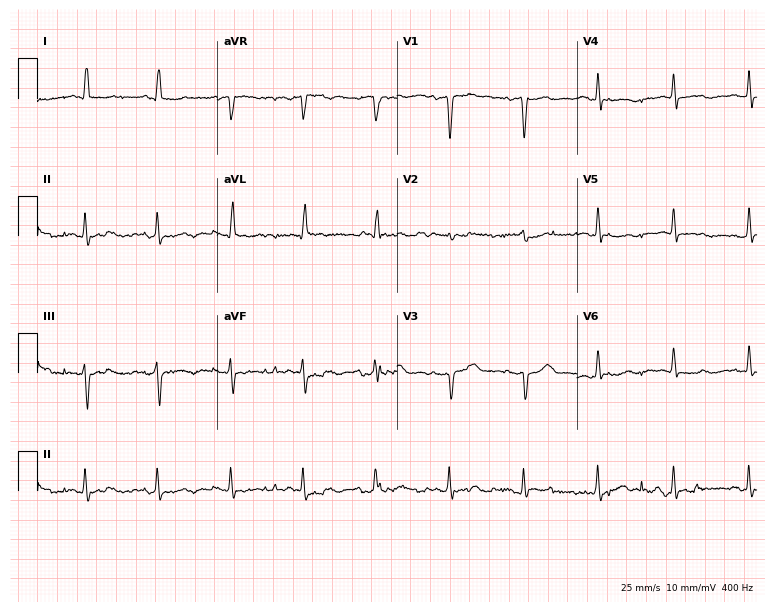
Electrocardiogram, a woman, 34 years old. Of the six screened findings (first-degree AV block, right bundle branch block (RBBB), left bundle branch block (LBBB), sinus bradycardia, atrial fibrillation (AF), sinus tachycardia), none is recorded.